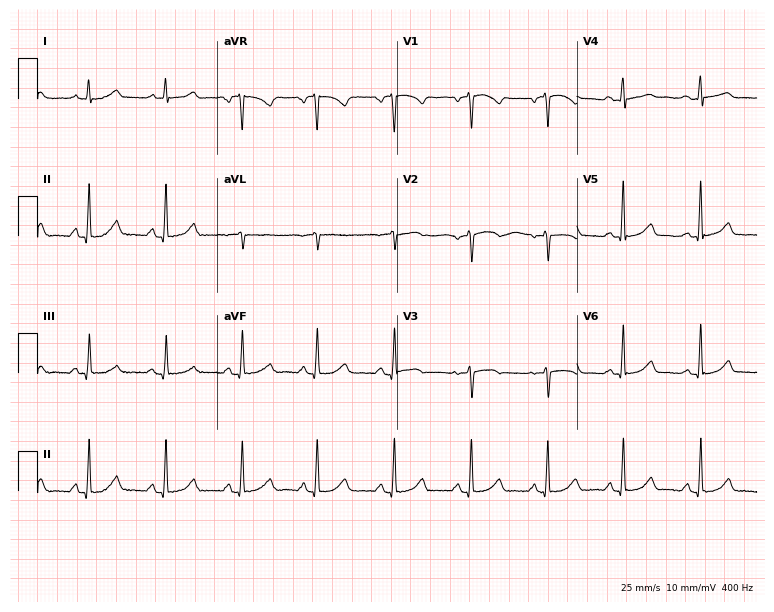
Electrocardiogram, a 59-year-old female patient. Overall reading on record: normal ECG.